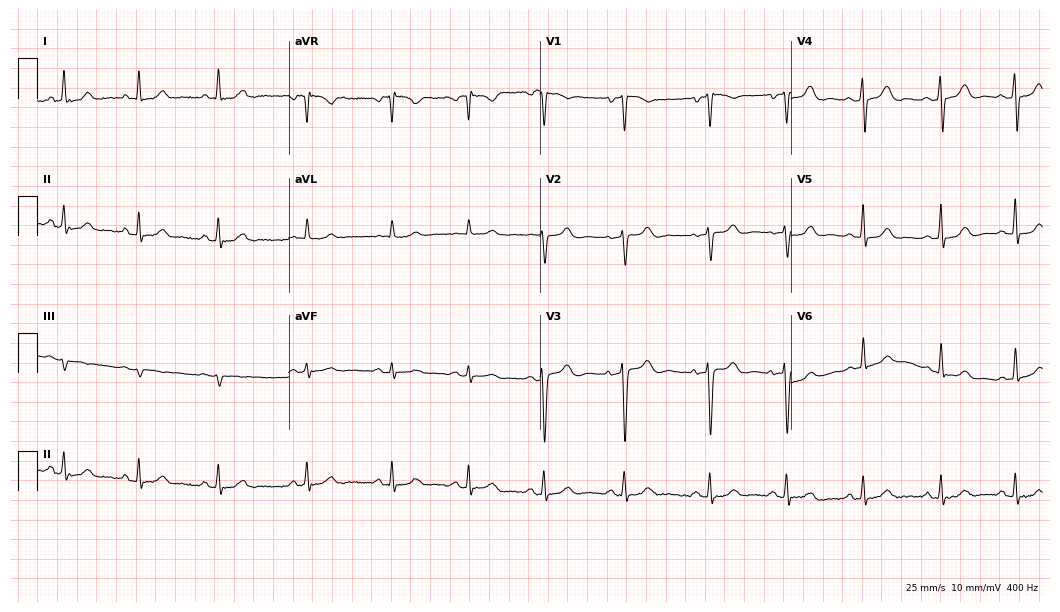
Resting 12-lead electrocardiogram. Patient: a 39-year-old woman. Read as a normal ECG.